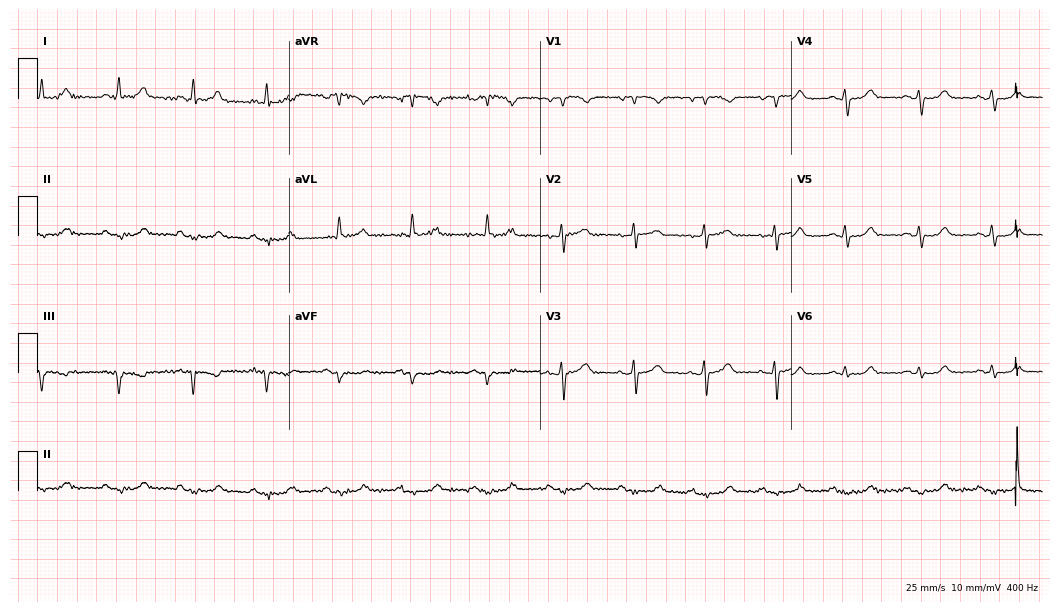
ECG — a female, 61 years old. Screened for six findings — first-degree AV block, right bundle branch block, left bundle branch block, sinus bradycardia, atrial fibrillation, sinus tachycardia — none is recorded. Only these six findings were labelled.